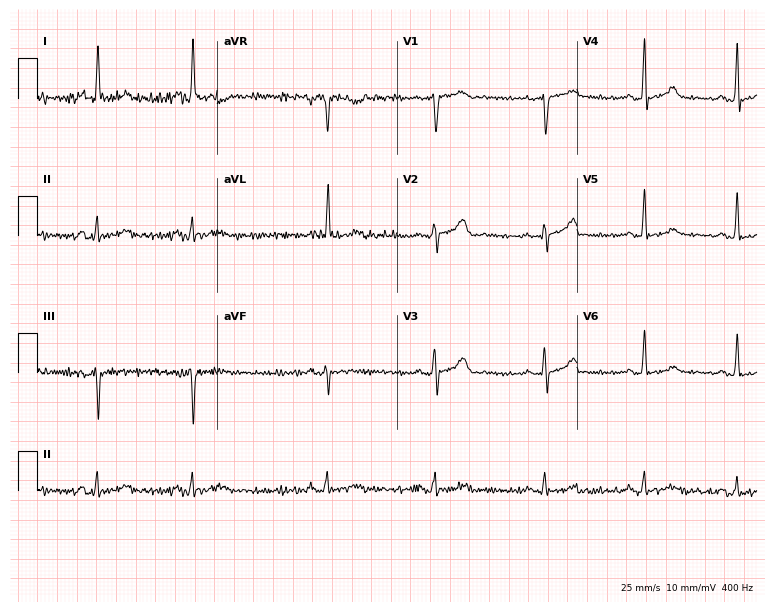
ECG (7.3-second recording at 400 Hz) — a 78-year-old female. Screened for six findings — first-degree AV block, right bundle branch block, left bundle branch block, sinus bradycardia, atrial fibrillation, sinus tachycardia — none is recorded. Other findings, if any, are not listed.